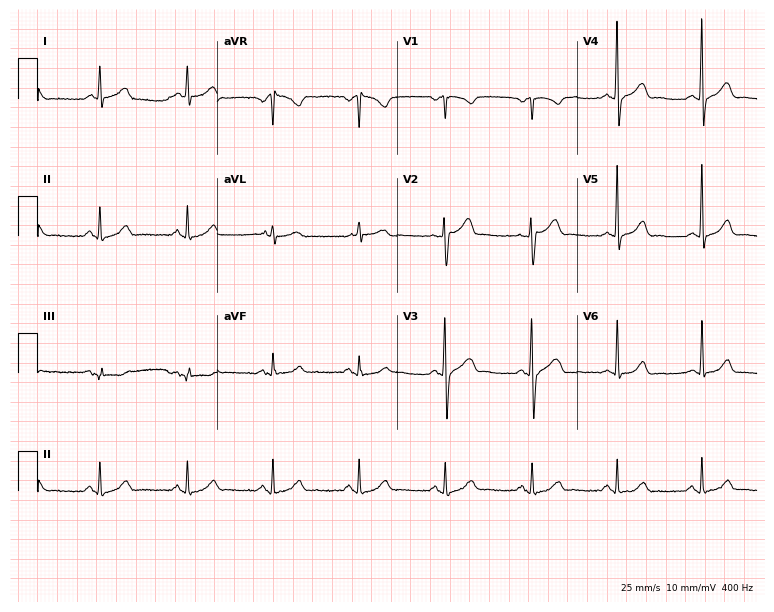
12-lead ECG from a male patient, 72 years old. Recorded interpretation: within normal limits.